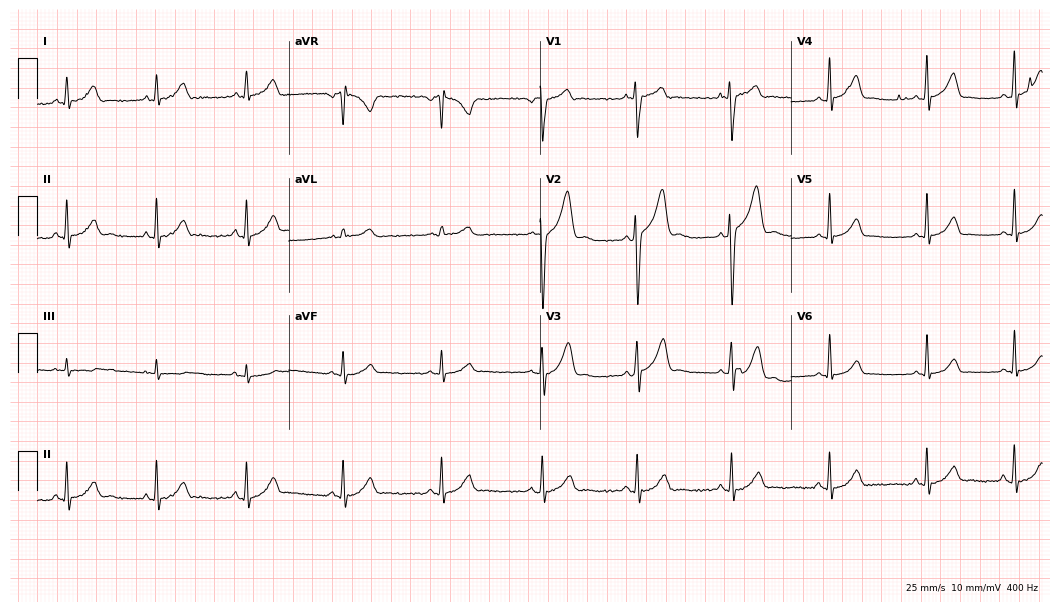
Standard 12-lead ECG recorded from a 25-year-old male patient. None of these six findings is recorded: first-degree AV block, right bundle branch block, left bundle branch block, sinus bradycardia, atrial fibrillation, sinus tachycardia. Other findings, if any, are not listed.